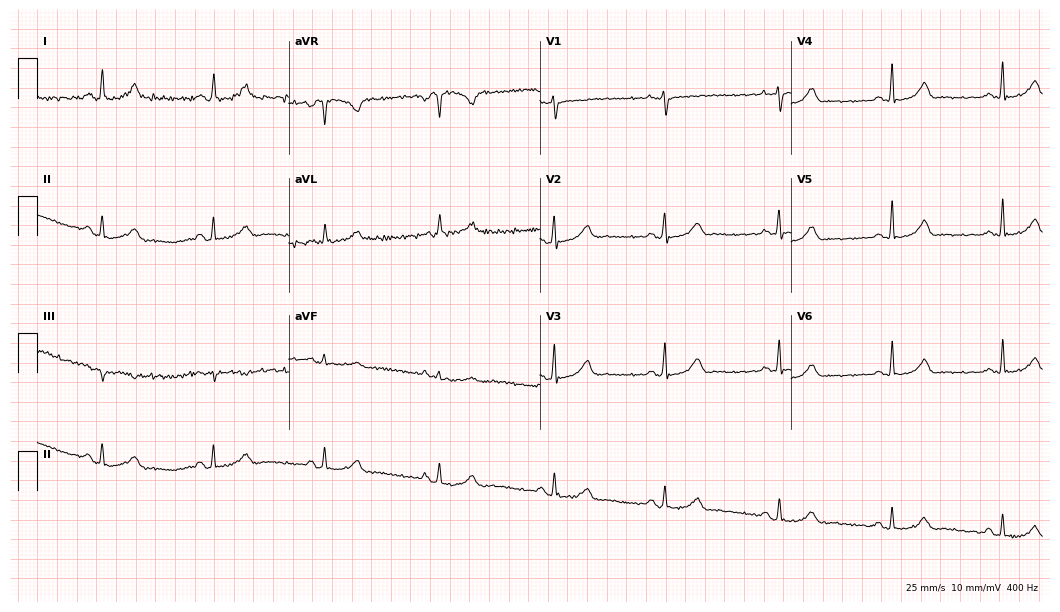
Resting 12-lead electrocardiogram (10.2-second recording at 400 Hz). Patient: a female, 39 years old. None of these six findings is recorded: first-degree AV block, right bundle branch block, left bundle branch block, sinus bradycardia, atrial fibrillation, sinus tachycardia.